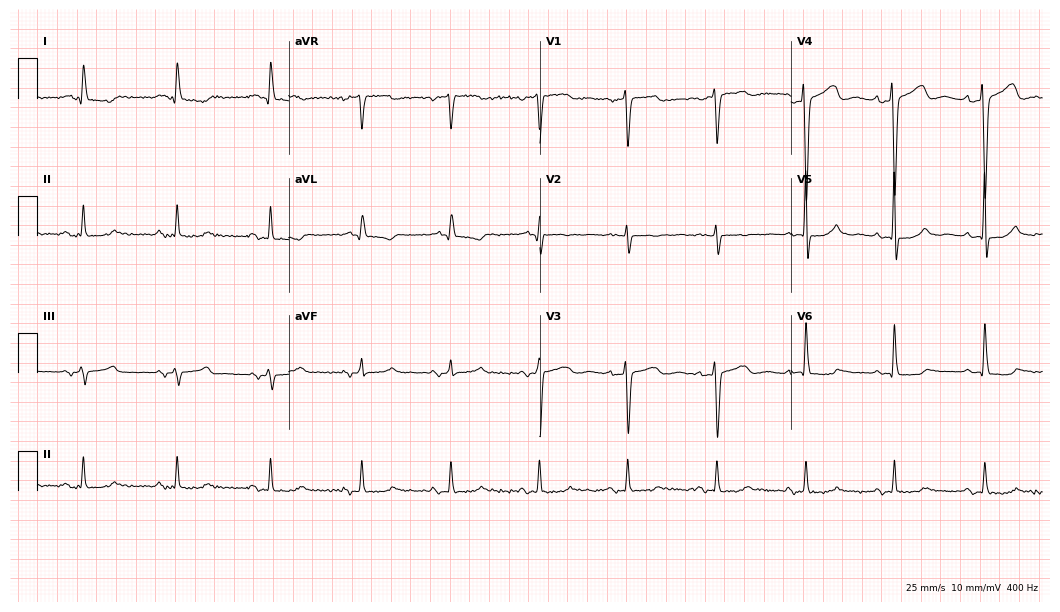
Resting 12-lead electrocardiogram. Patient: a woman, 75 years old. None of these six findings is recorded: first-degree AV block, right bundle branch block, left bundle branch block, sinus bradycardia, atrial fibrillation, sinus tachycardia.